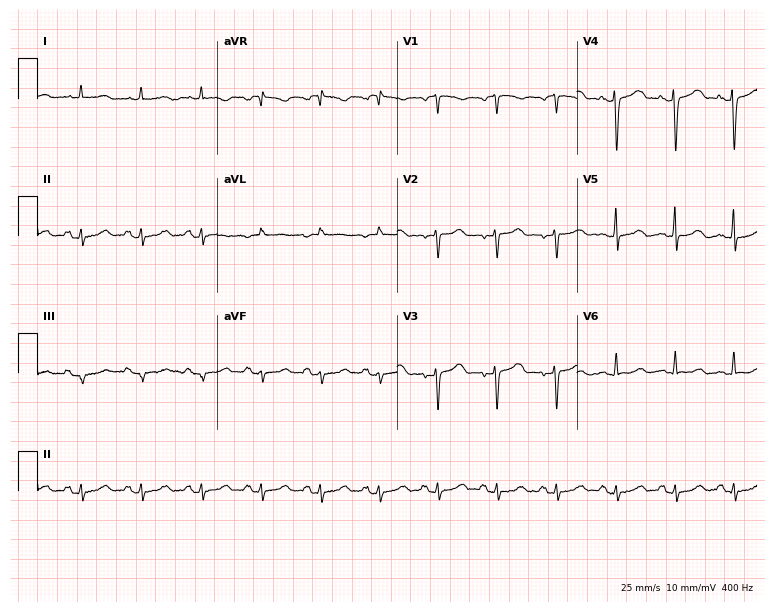
Electrocardiogram (7.3-second recording at 400 Hz), a 70-year-old female. Of the six screened findings (first-degree AV block, right bundle branch block, left bundle branch block, sinus bradycardia, atrial fibrillation, sinus tachycardia), none is recorded. Other findings, if any, are not listed.